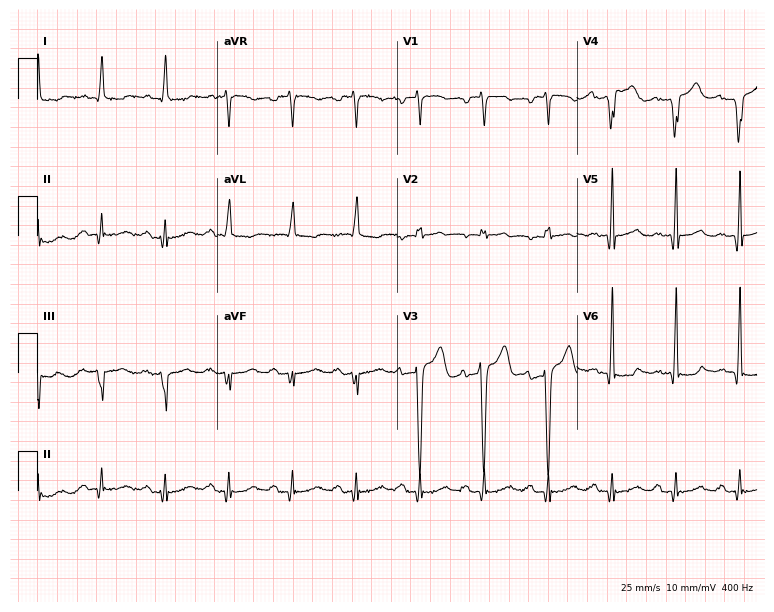
ECG — an 83-year-old male patient. Screened for six findings — first-degree AV block, right bundle branch block (RBBB), left bundle branch block (LBBB), sinus bradycardia, atrial fibrillation (AF), sinus tachycardia — none is recorded.